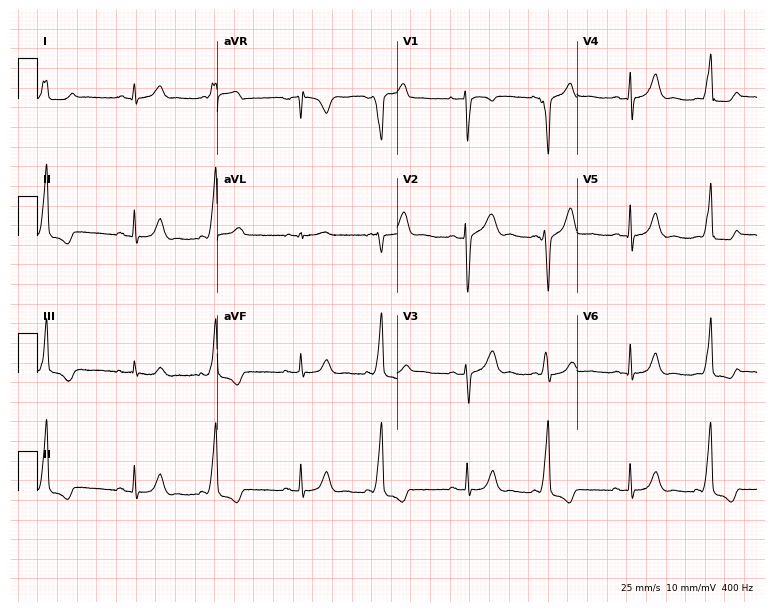
ECG (7.3-second recording at 400 Hz) — a female, 26 years old. Screened for six findings — first-degree AV block, right bundle branch block, left bundle branch block, sinus bradycardia, atrial fibrillation, sinus tachycardia — none is recorded.